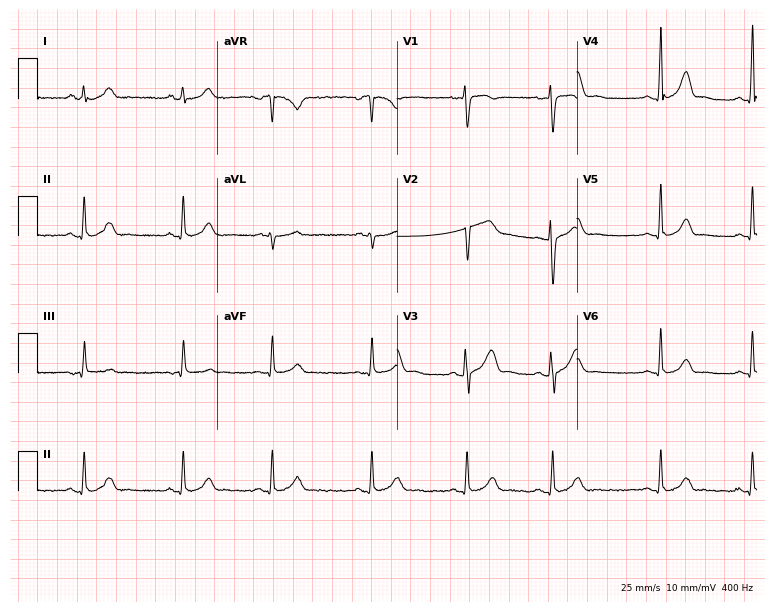
12-lead ECG from a 21-year-old woman (7.3-second recording at 400 Hz). Recorded interpretation: within normal limits.